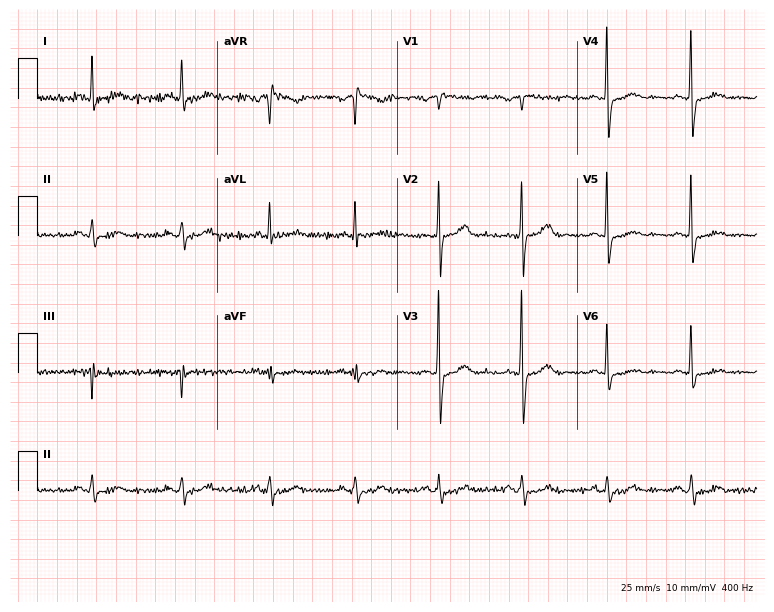
Standard 12-lead ECG recorded from a 55-year-old male. Read as a normal ECG.